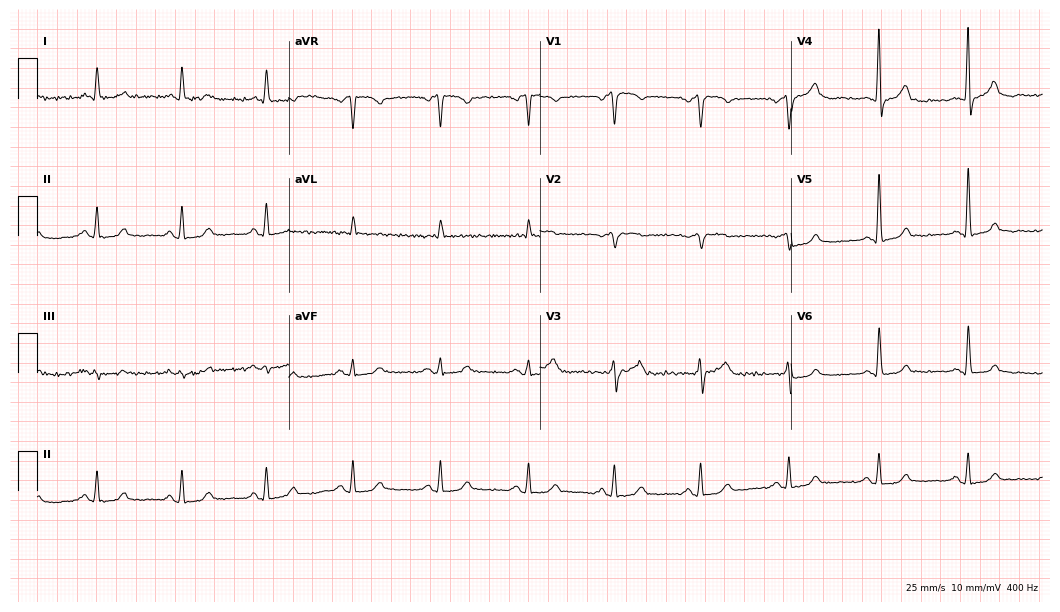
12-lead ECG from a male, 61 years old. Screened for six findings — first-degree AV block, right bundle branch block, left bundle branch block, sinus bradycardia, atrial fibrillation, sinus tachycardia — none is recorded.